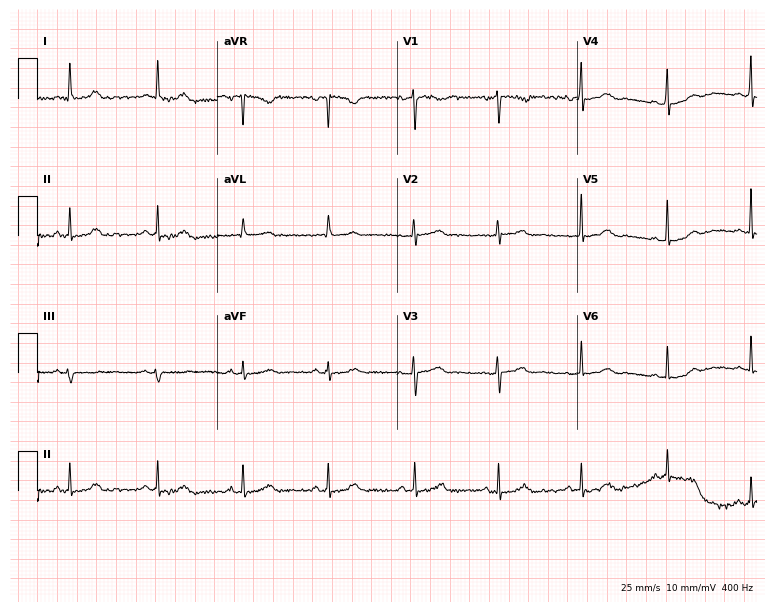
Resting 12-lead electrocardiogram (7.3-second recording at 400 Hz). Patient: a 50-year-old female. Read as a normal ECG.